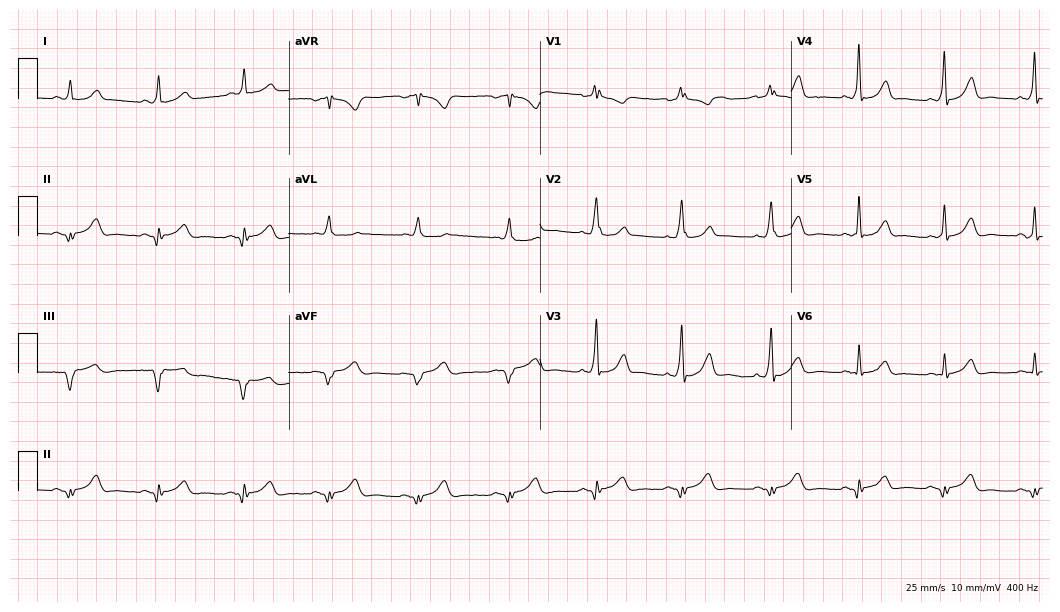
12-lead ECG from a female, 53 years old. Screened for six findings — first-degree AV block, right bundle branch block (RBBB), left bundle branch block (LBBB), sinus bradycardia, atrial fibrillation (AF), sinus tachycardia — none is recorded.